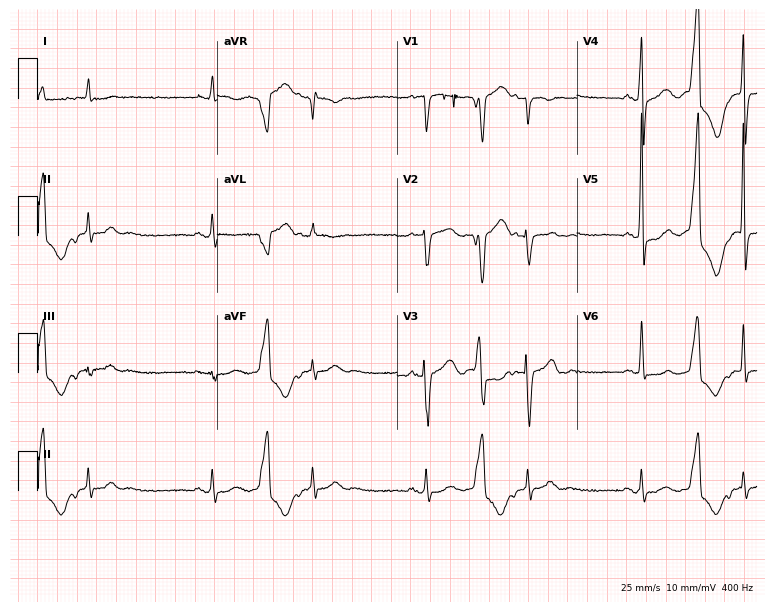
Electrocardiogram, a 68-year-old male. Of the six screened findings (first-degree AV block, right bundle branch block, left bundle branch block, sinus bradycardia, atrial fibrillation, sinus tachycardia), none is recorded. Other findings, if any, are not listed.